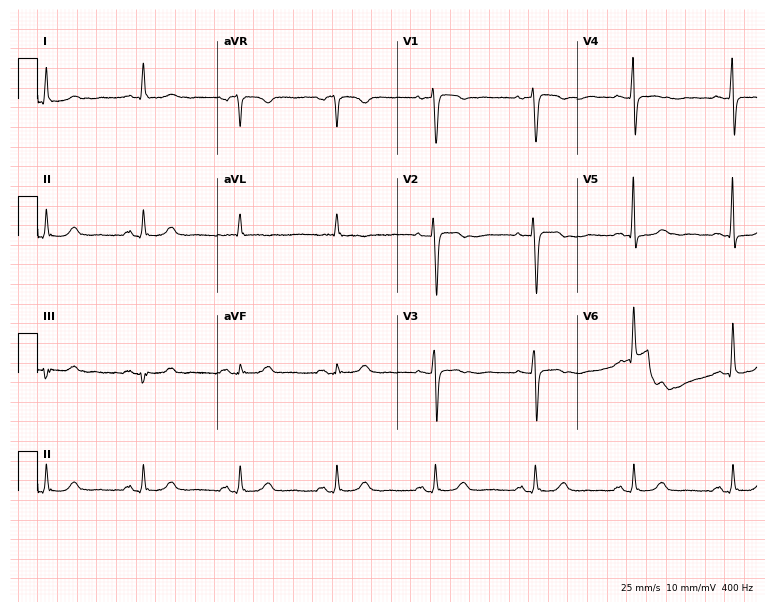
12-lead ECG from a 67-year-old female. Screened for six findings — first-degree AV block, right bundle branch block, left bundle branch block, sinus bradycardia, atrial fibrillation, sinus tachycardia — none is recorded. Findings outside these six are not listed.